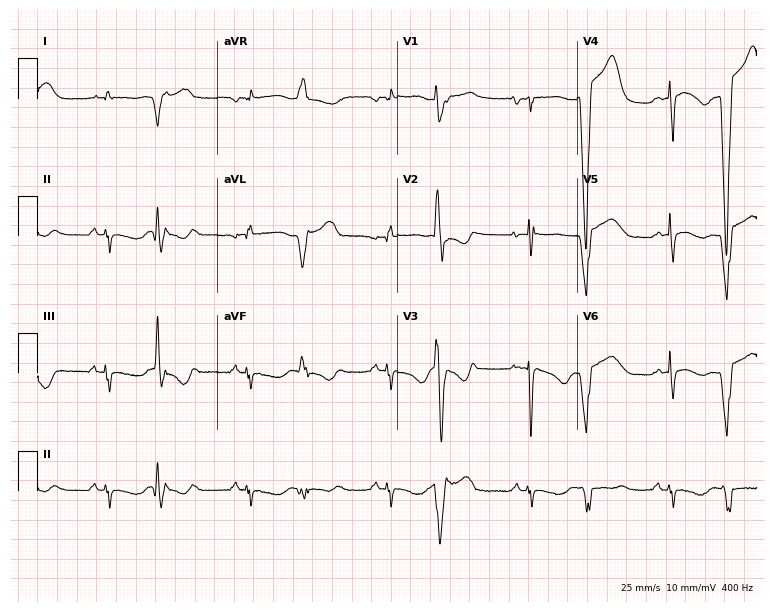
12-lead ECG from a female patient, 71 years old. No first-degree AV block, right bundle branch block, left bundle branch block, sinus bradycardia, atrial fibrillation or sinus tachycardia recorded for this tracing.